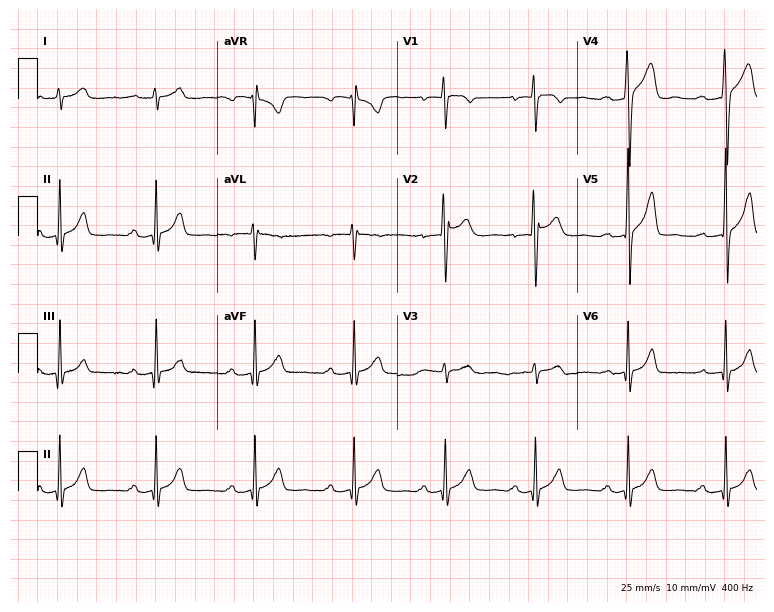
Electrocardiogram, a man, 30 years old. Interpretation includes first-degree AV block.